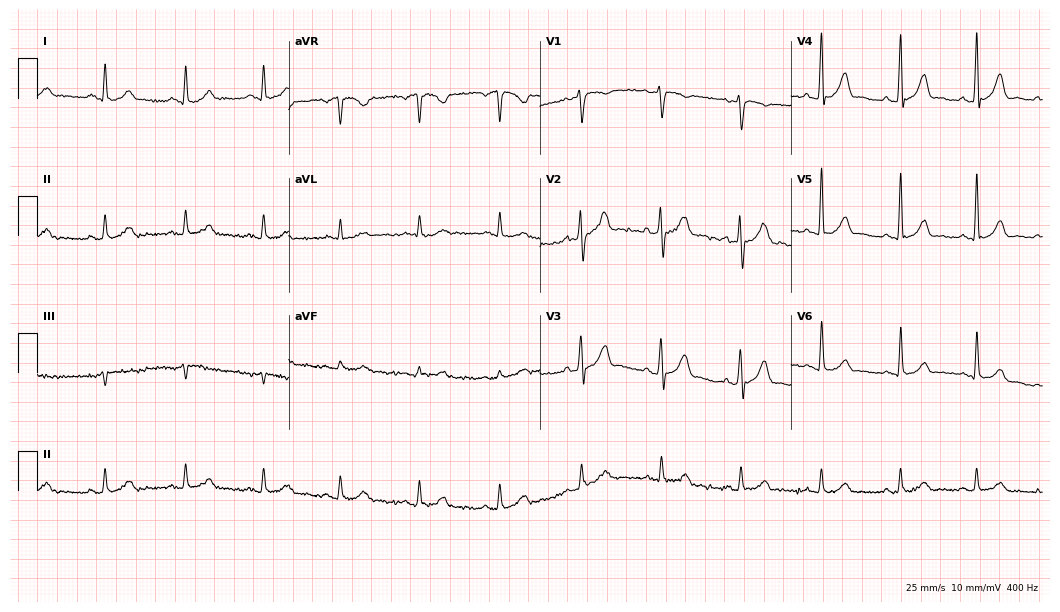
Standard 12-lead ECG recorded from a man, 41 years old (10.2-second recording at 400 Hz). None of these six findings is recorded: first-degree AV block, right bundle branch block, left bundle branch block, sinus bradycardia, atrial fibrillation, sinus tachycardia.